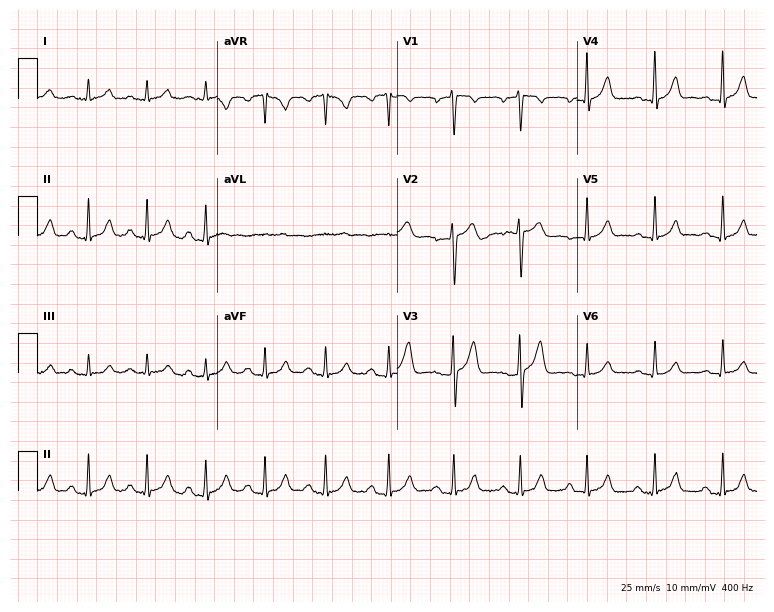
ECG — a male, 48 years old. Screened for six findings — first-degree AV block, right bundle branch block (RBBB), left bundle branch block (LBBB), sinus bradycardia, atrial fibrillation (AF), sinus tachycardia — none is recorded.